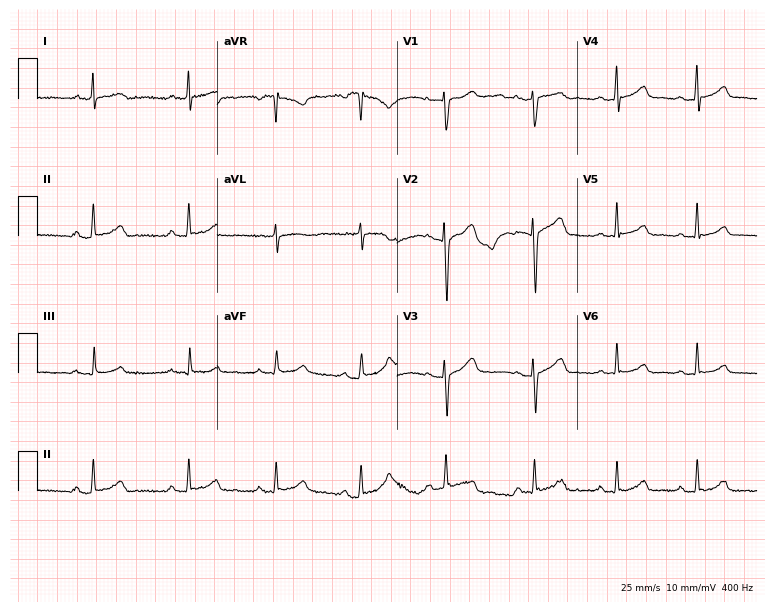
Resting 12-lead electrocardiogram. Patient: a female, 20 years old. Read as a normal ECG.